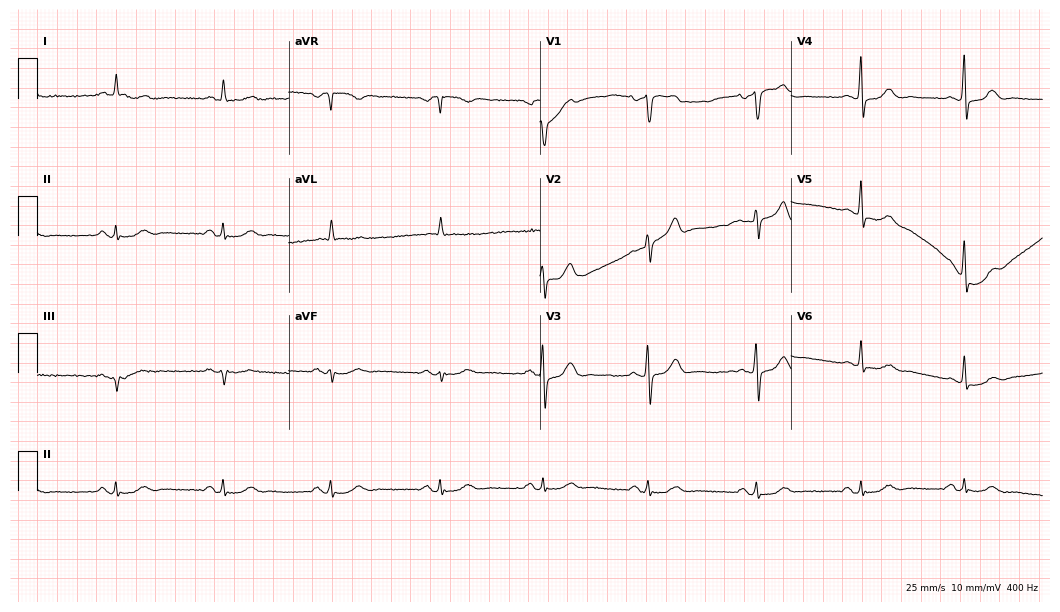
ECG (10.2-second recording at 400 Hz) — a 74-year-old male patient. Labelled as a normal ECG.